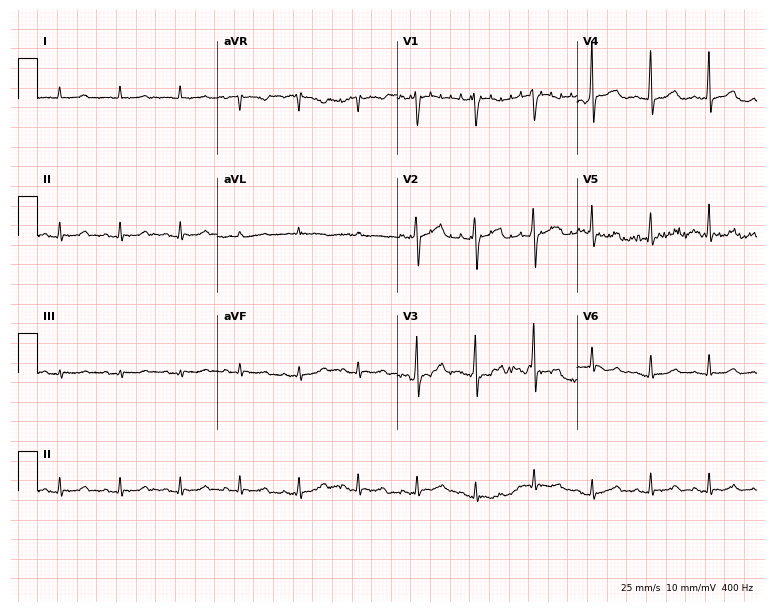
Standard 12-lead ECG recorded from a female, 70 years old. Read as a normal ECG.